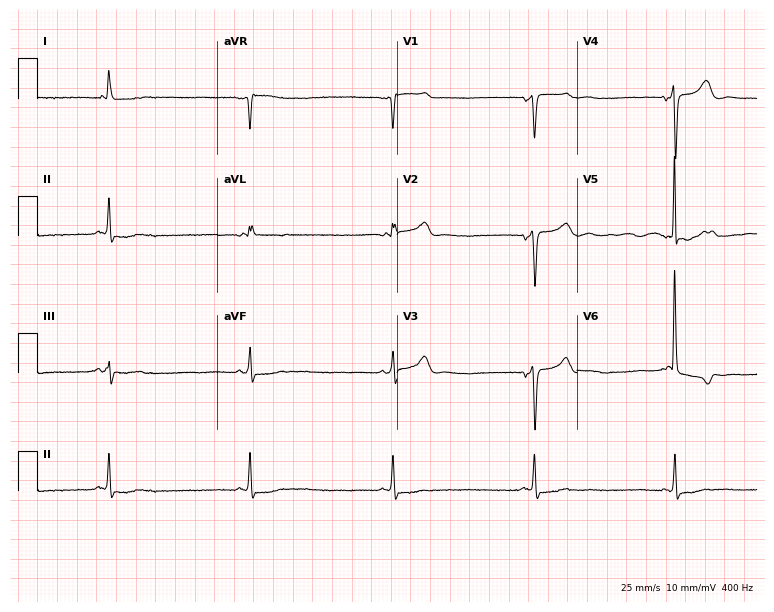
12-lead ECG from an 80-year-old male patient. No first-degree AV block, right bundle branch block, left bundle branch block, sinus bradycardia, atrial fibrillation or sinus tachycardia recorded for this tracing. Findings outside these six are not listed.